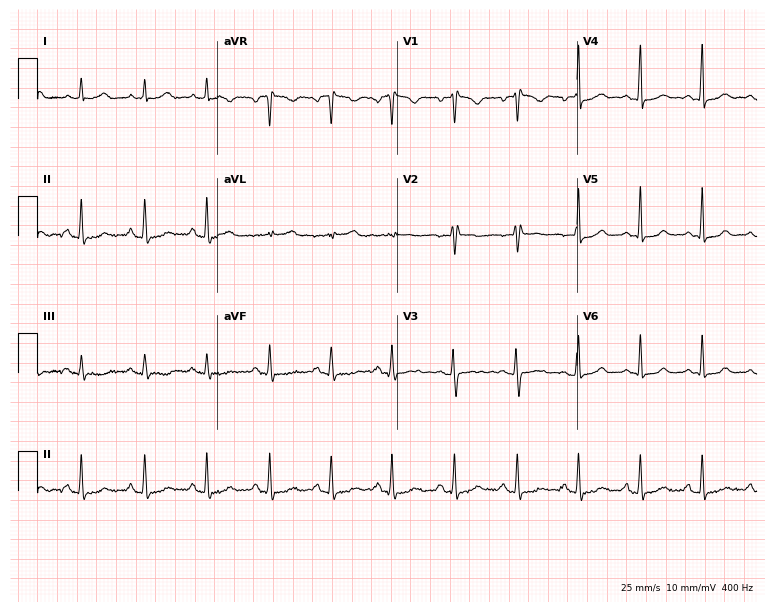
12-lead ECG from a 19-year-old female patient (7.3-second recording at 400 Hz). Recorded interpretation: within normal limits.